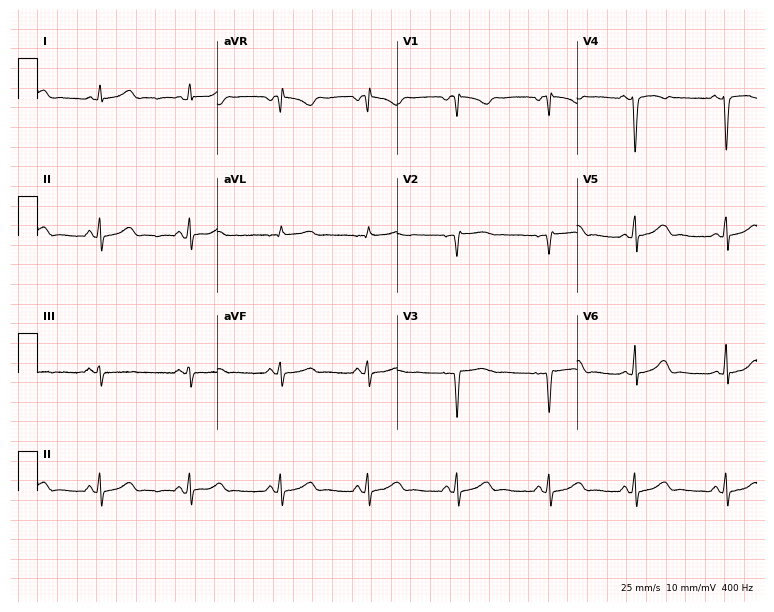
Resting 12-lead electrocardiogram. Patient: a female, 31 years old. None of these six findings is recorded: first-degree AV block, right bundle branch block, left bundle branch block, sinus bradycardia, atrial fibrillation, sinus tachycardia.